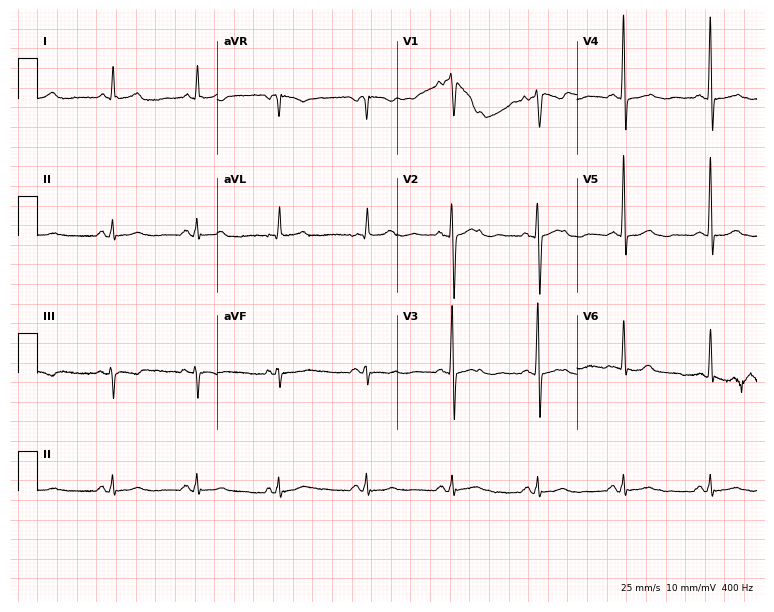
Resting 12-lead electrocardiogram. Patient: a 67-year-old man. Read as a normal ECG.